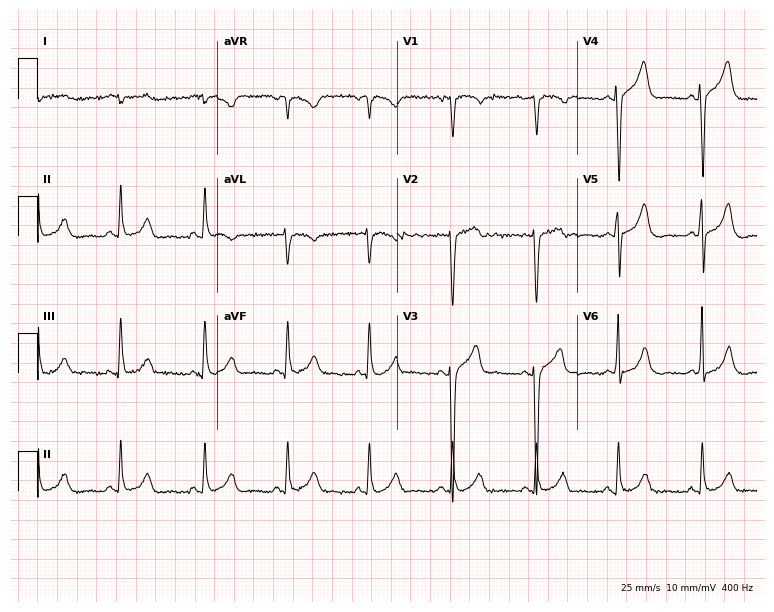
Electrocardiogram (7.3-second recording at 400 Hz), a male, 50 years old. Overall reading on record: normal ECG.